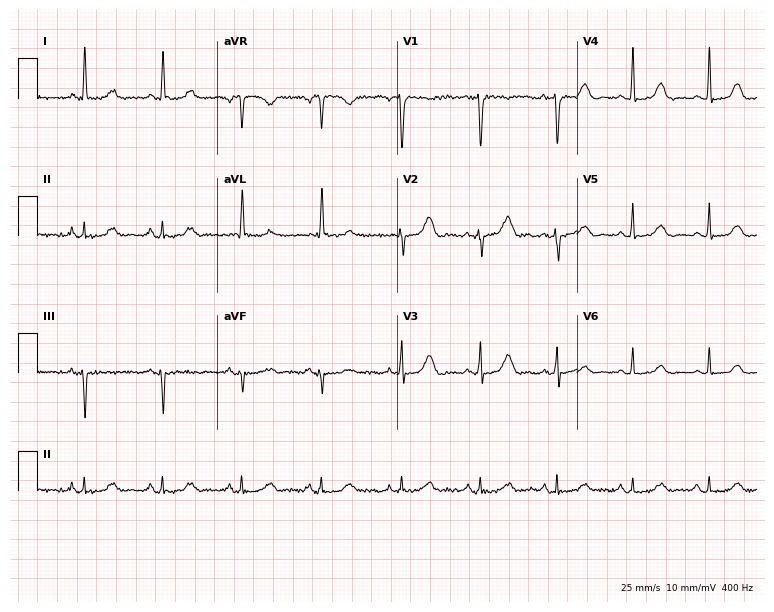
12-lead ECG (7.3-second recording at 400 Hz) from an 82-year-old female patient. Screened for six findings — first-degree AV block, right bundle branch block, left bundle branch block, sinus bradycardia, atrial fibrillation, sinus tachycardia — none is recorded.